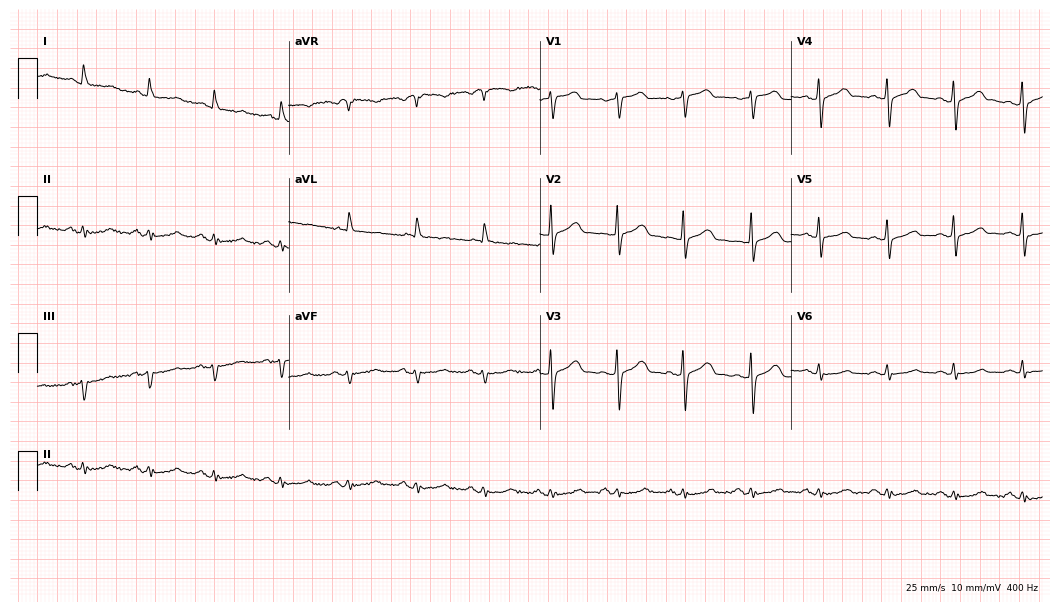
ECG — a woman, 68 years old. Screened for six findings — first-degree AV block, right bundle branch block, left bundle branch block, sinus bradycardia, atrial fibrillation, sinus tachycardia — none is recorded.